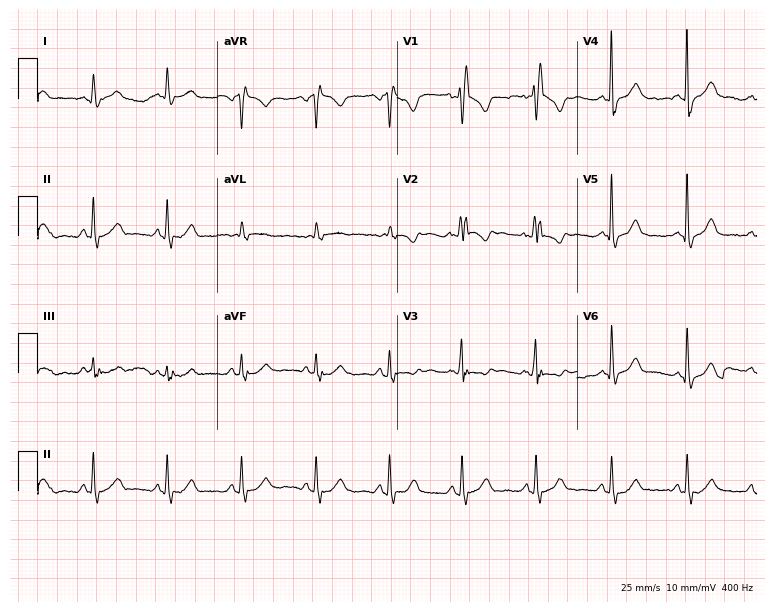
12-lead ECG (7.3-second recording at 400 Hz) from a 55-year-old woman. Screened for six findings — first-degree AV block, right bundle branch block, left bundle branch block, sinus bradycardia, atrial fibrillation, sinus tachycardia — none is recorded. Other findings, if any, are not listed.